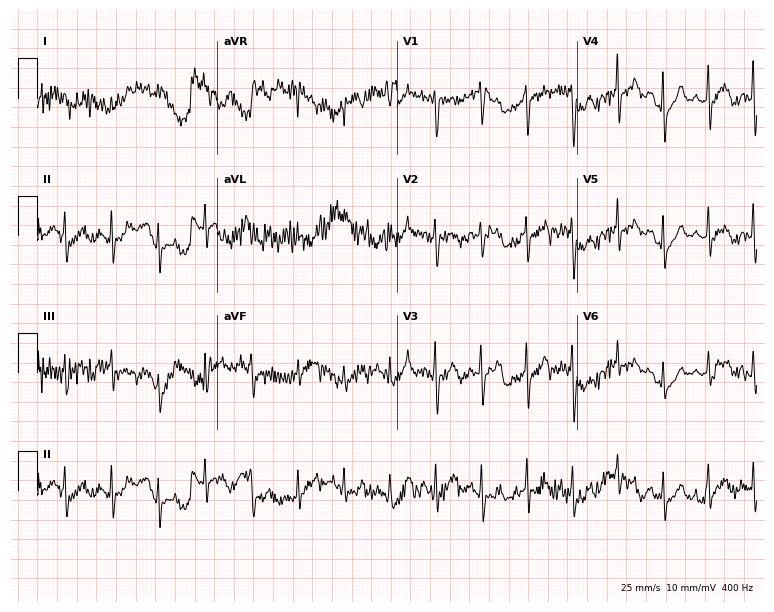
12-lead ECG from a male patient, 61 years old. No first-degree AV block, right bundle branch block, left bundle branch block, sinus bradycardia, atrial fibrillation or sinus tachycardia recorded for this tracing.